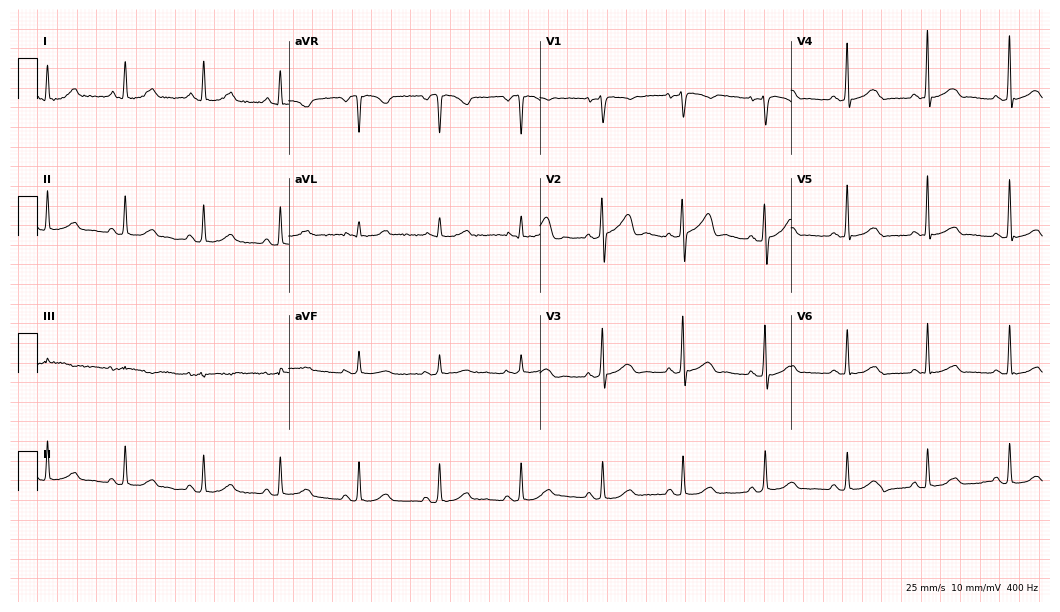
12-lead ECG from a 53-year-old female (10.2-second recording at 400 Hz). Recorded interpretation: within normal limits.